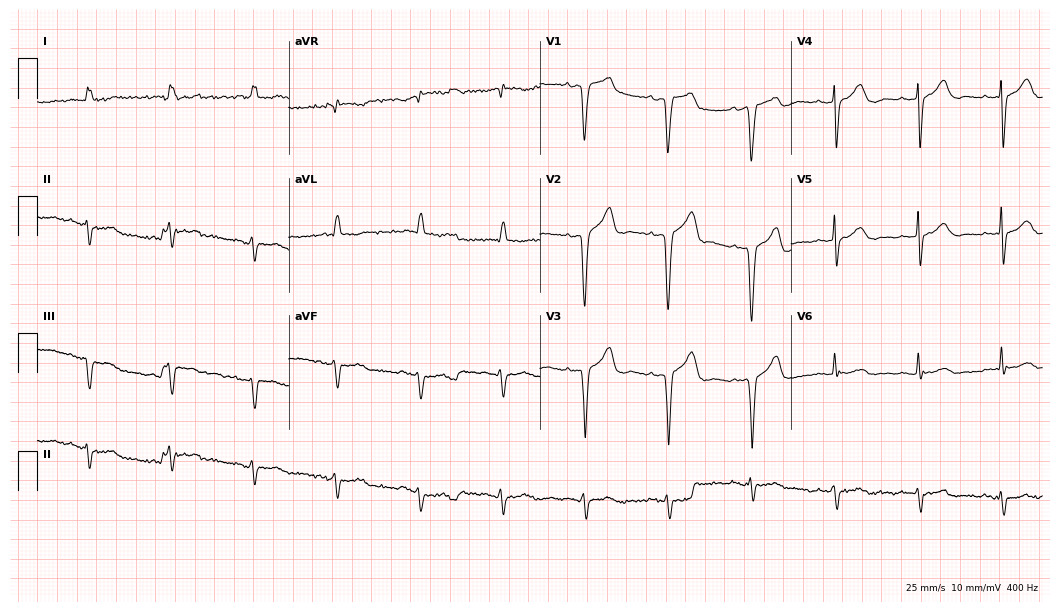
12-lead ECG from a male patient, 74 years old. No first-degree AV block, right bundle branch block, left bundle branch block, sinus bradycardia, atrial fibrillation or sinus tachycardia recorded for this tracing.